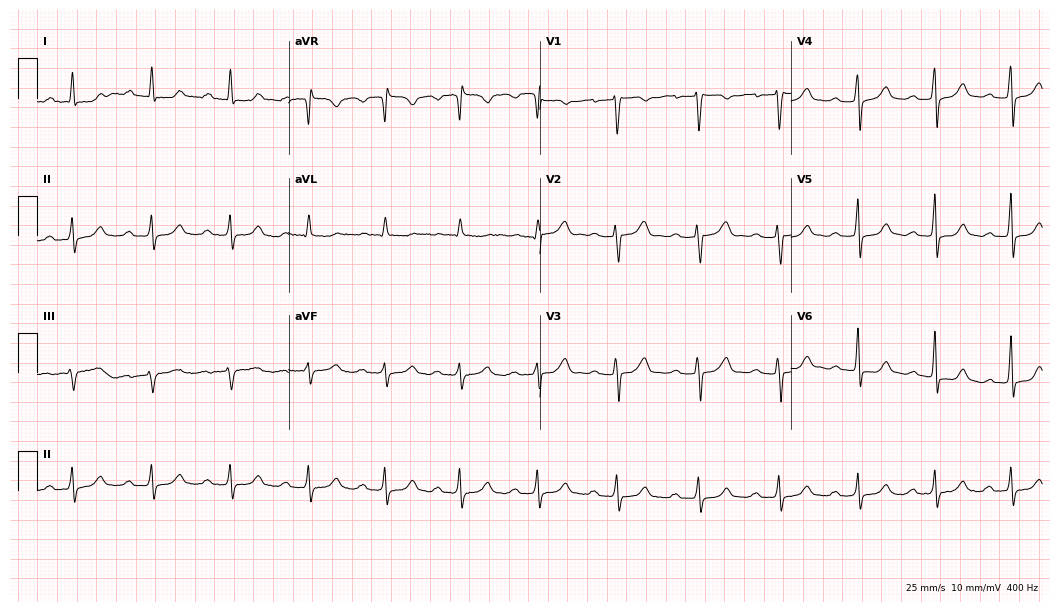
ECG (10.2-second recording at 400 Hz) — a 45-year-old female patient. Labelled as a normal ECG.